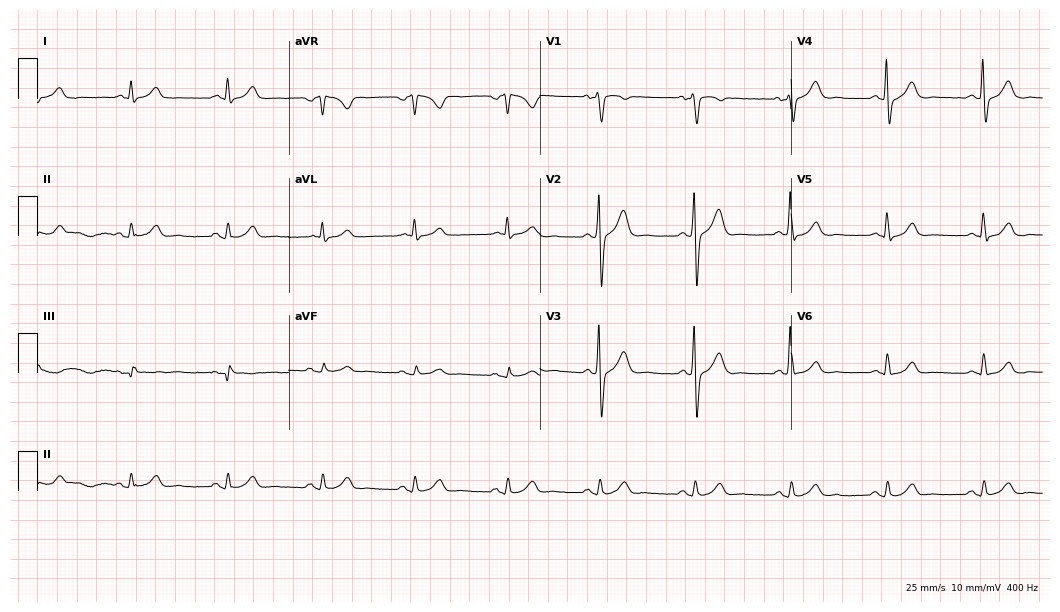
ECG — a female patient, 35 years old. Labelled as a normal ECG.